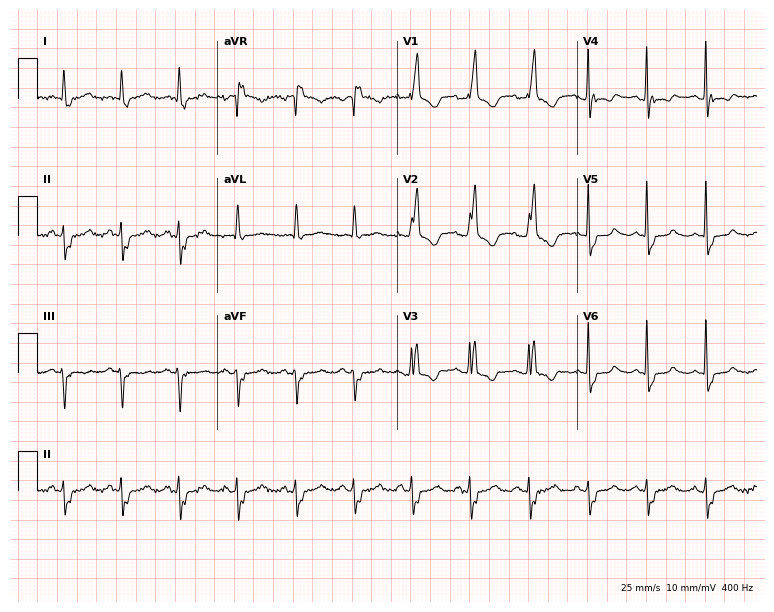
Resting 12-lead electrocardiogram (7.3-second recording at 400 Hz). Patient: a female, 76 years old. The tracing shows right bundle branch block.